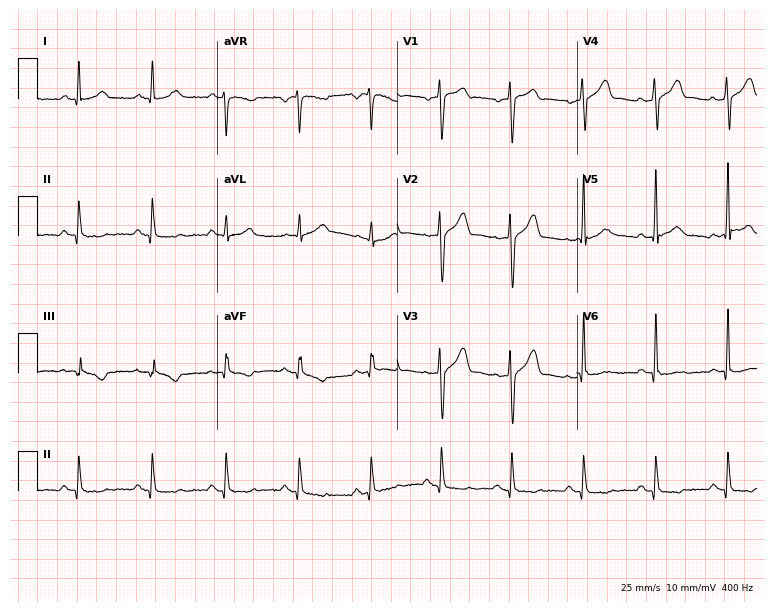
Resting 12-lead electrocardiogram. Patient: a man, 41 years old. Read as a normal ECG.